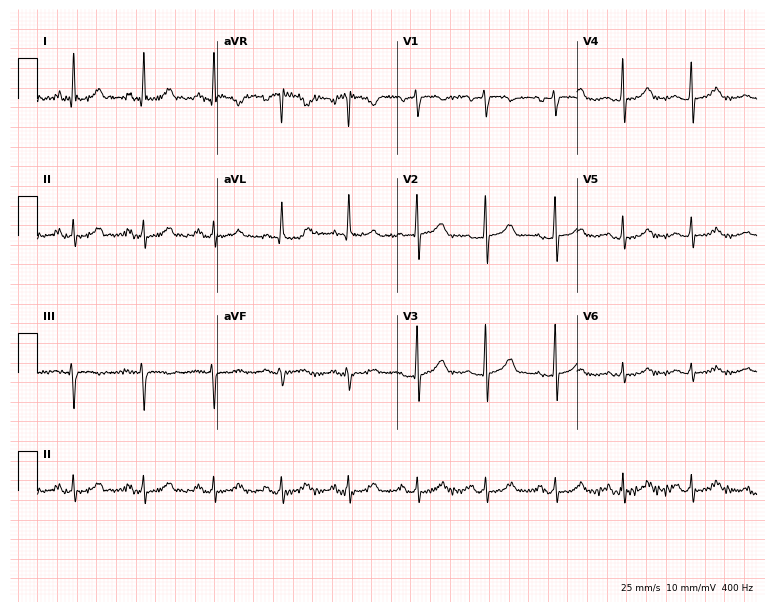
Resting 12-lead electrocardiogram. Patient: a 65-year-old female. Read as a normal ECG.